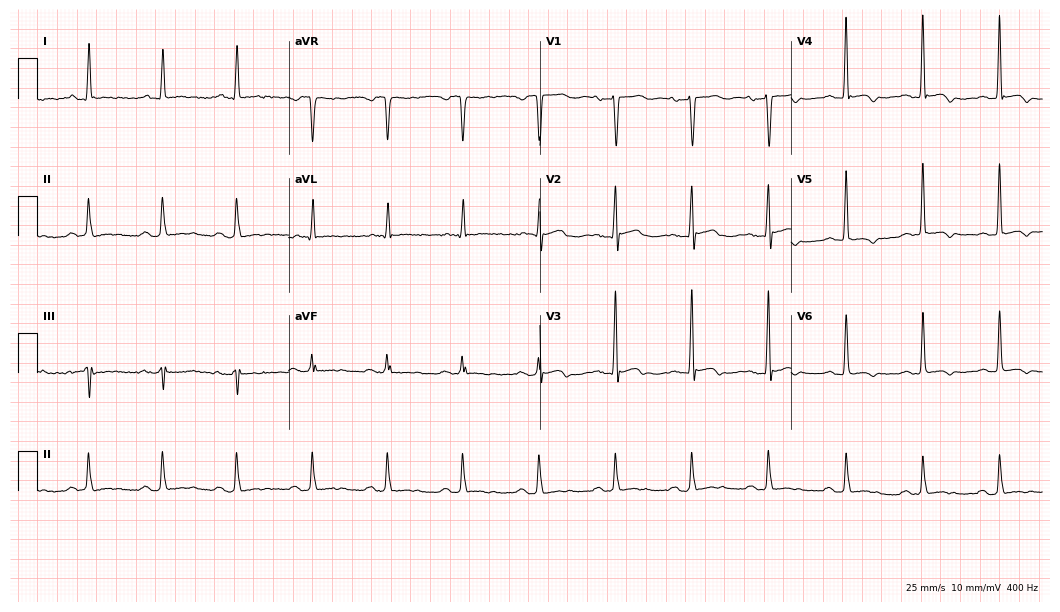
Electrocardiogram (10.2-second recording at 400 Hz), a 68-year-old woman. Of the six screened findings (first-degree AV block, right bundle branch block, left bundle branch block, sinus bradycardia, atrial fibrillation, sinus tachycardia), none is recorded. Findings outside these six are not listed.